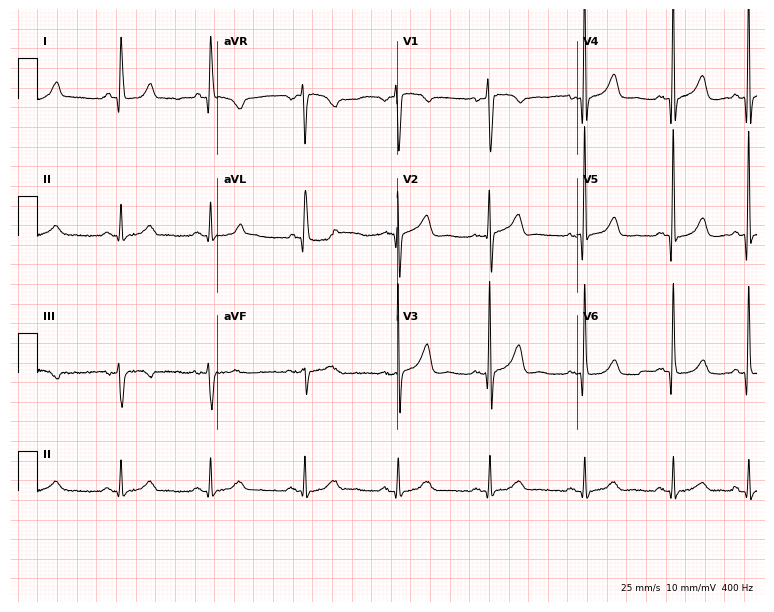
Resting 12-lead electrocardiogram (7.3-second recording at 400 Hz). Patient: a woman, 58 years old. None of these six findings is recorded: first-degree AV block, right bundle branch block, left bundle branch block, sinus bradycardia, atrial fibrillation, sinus tachycardia.